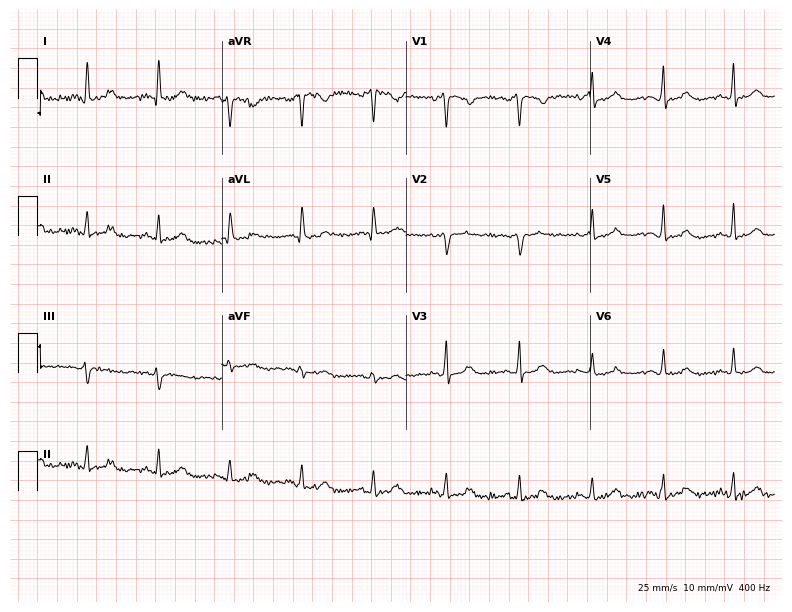
12-lead ECG from a female, 42 years old (7.5-second recording at 400 Hz). No first-degree AV block, right bundle branch block (RBBB), left bundle branch block (LBBB), sinus bradycardia, atrial fibrillation (AF) or sinus tachycardia recorded for this tracing. Only these six findings were labelled.